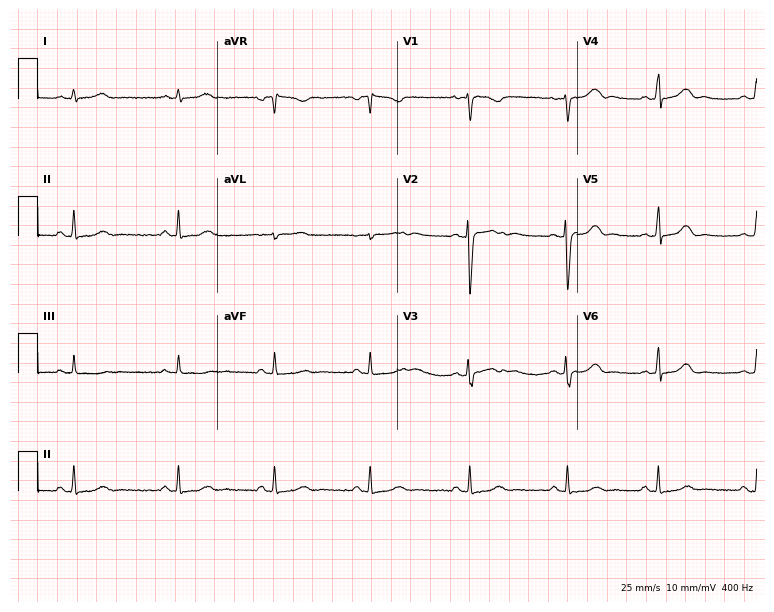
Resting 12-lead electrocardiogram. Patient: a 33-year-old female. None of these six findings is recorded: first-degree AV block, right bundle branch block, left bundle branch block, sinus bradycardia, atrial fibrillation, sinus tachycardia. Other findings, if any, are not listed.